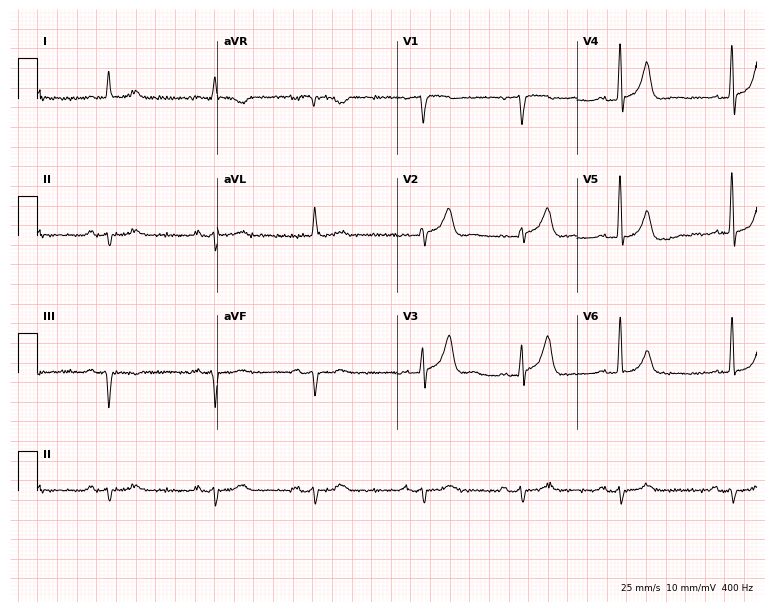
12-lead ECG from a 77-year-old man. Screened for six findings — first-degree AV block, right bundle branch block, left bundle branch block, sinus bradycardia, atrial fibrillation, sinus tachycardia — none is recorded.